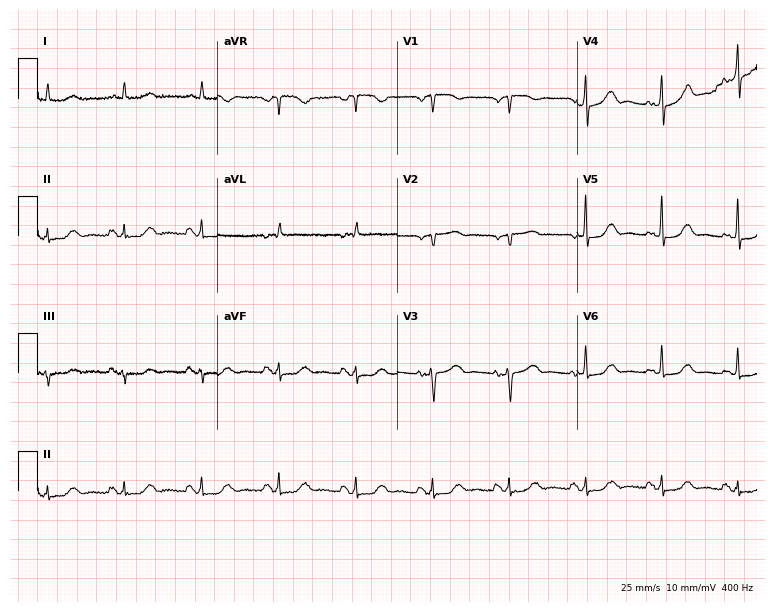
Electrocardiogram, an 82-year-old woman. Of the six screened findings (first-degree AV block, right bundle branch block, left bundle branch block, sinus bradycardia, atrial fibrillation, sinus tachycardia), none is recorded. Other findings, if any, are not listed.